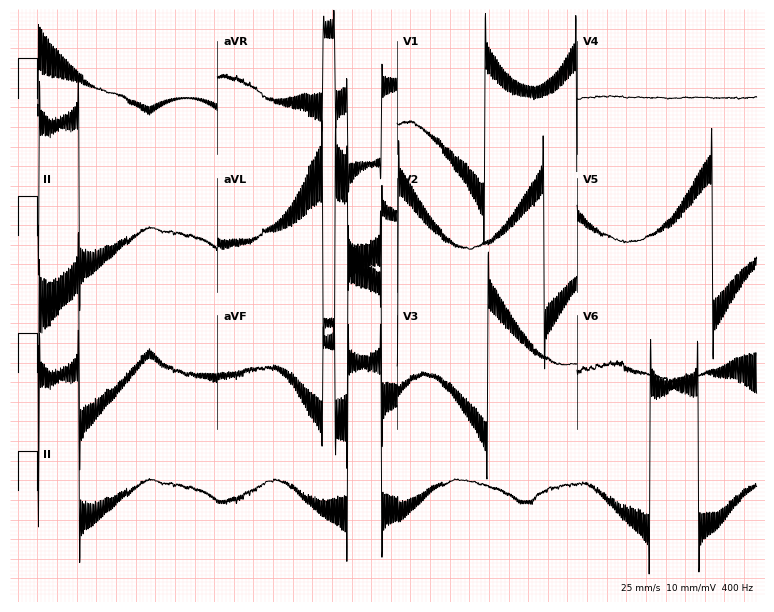
Standard 12-lead ECG recorded from a woman, 47 years old. None of these six findings is recorded: first-degree AV block, right bundle branch block (RBBB), left bundle branch block (LBBB), sinus bradycardia, atrial fibrillation (AF), sinus tachycardia.